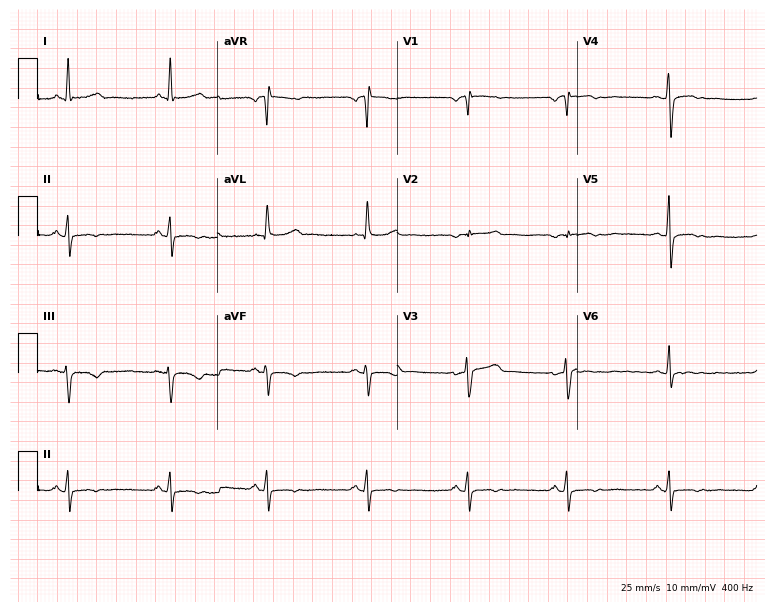
12-lead ECG from a 48-year-old female. Labelled as a normal ECG.